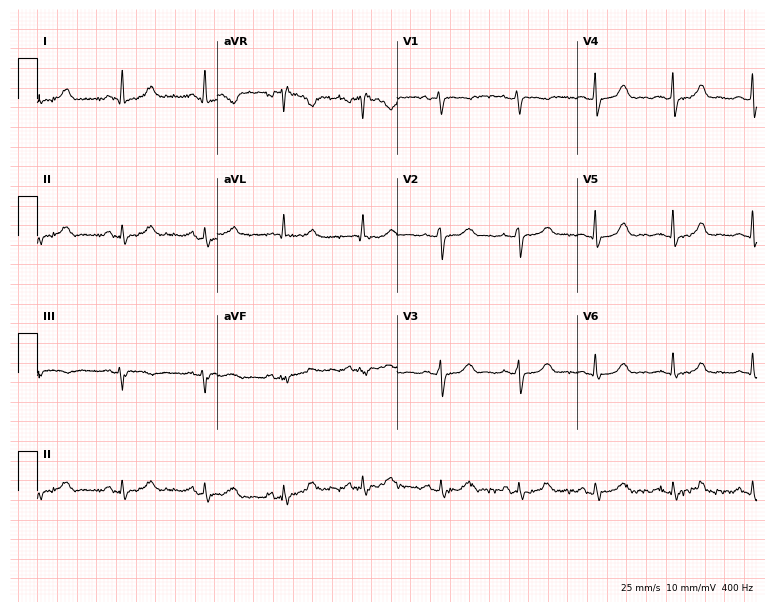
12-lead ECG from a 42-year-old woman. Recorded interpretation: within normal limits.